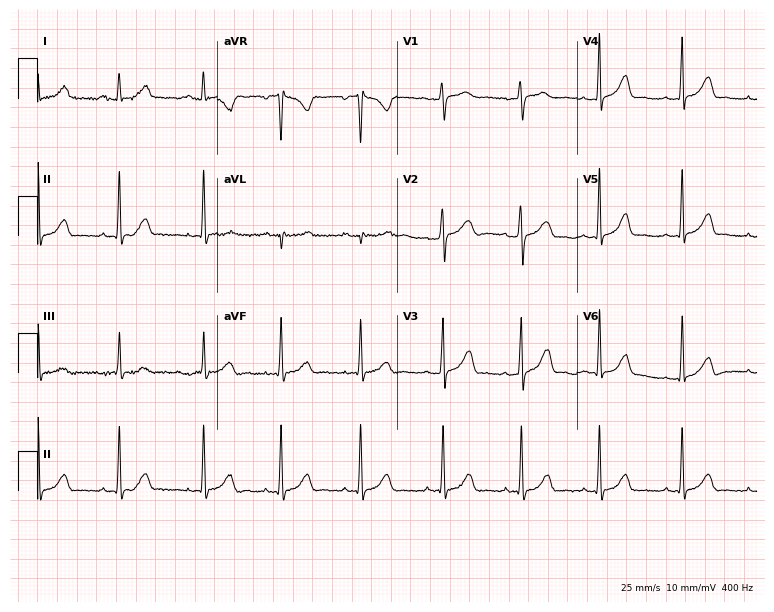
Electrocardiogram (7.3-second recording at 400 Hz), a female, 23 years old. Overall reading on record: normal ECG.